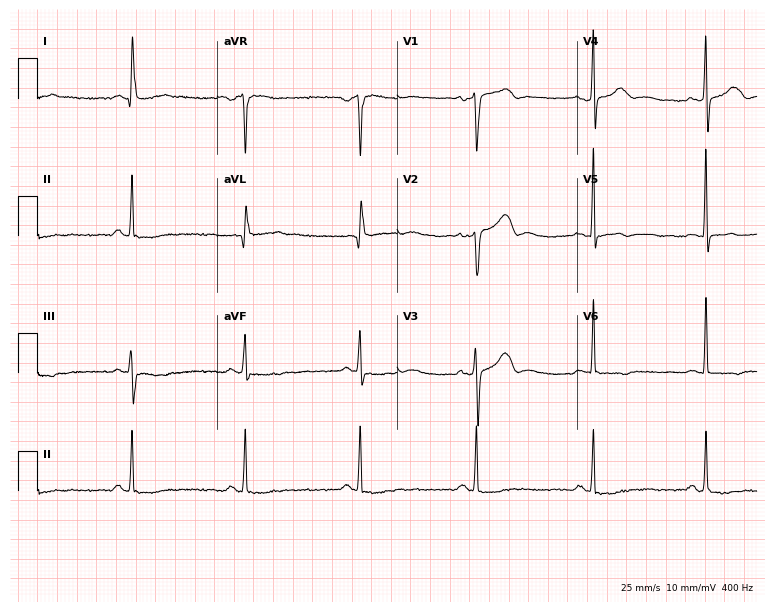
ECG — a woman, 65 years old. Labelled as a normal ECG.